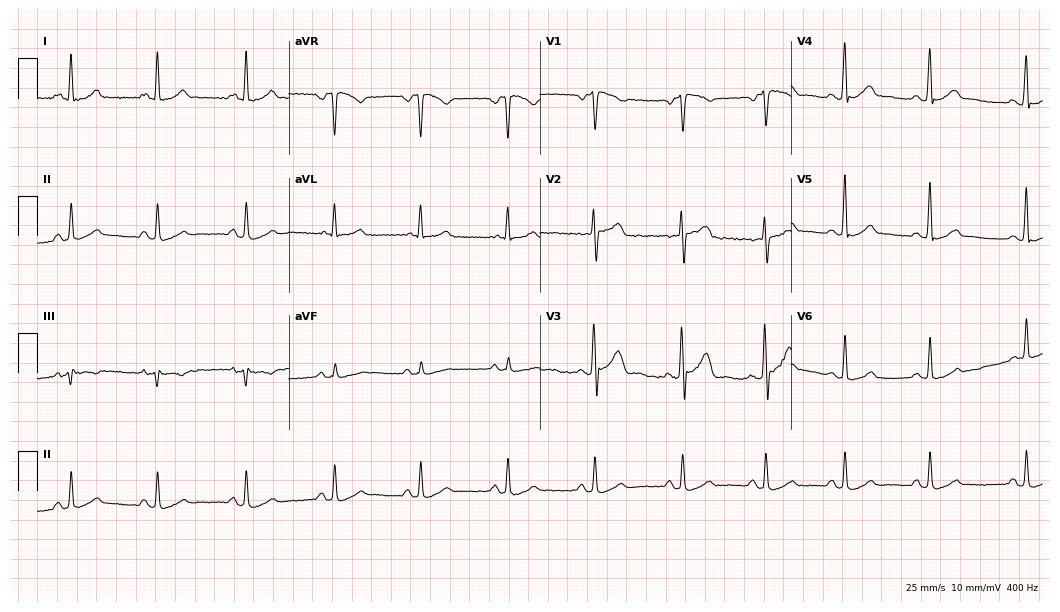
Resting 12-lead electrocardiogram (10.2-second recording at 400 Hz). Patient: a female, 27 years old. None of these six findings is recorded: first-degree AV block, right bundle branch block, left bundle branch block, sinus bradycardia, atrial fibrillation, sinus tachycardia.